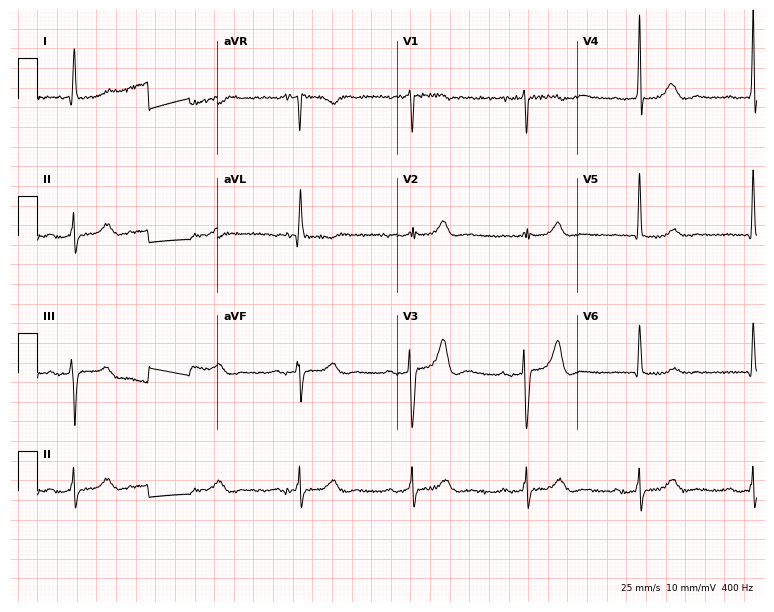
12-lead ECG from a woman, 74 years old. Findings include atrial fibrillation.